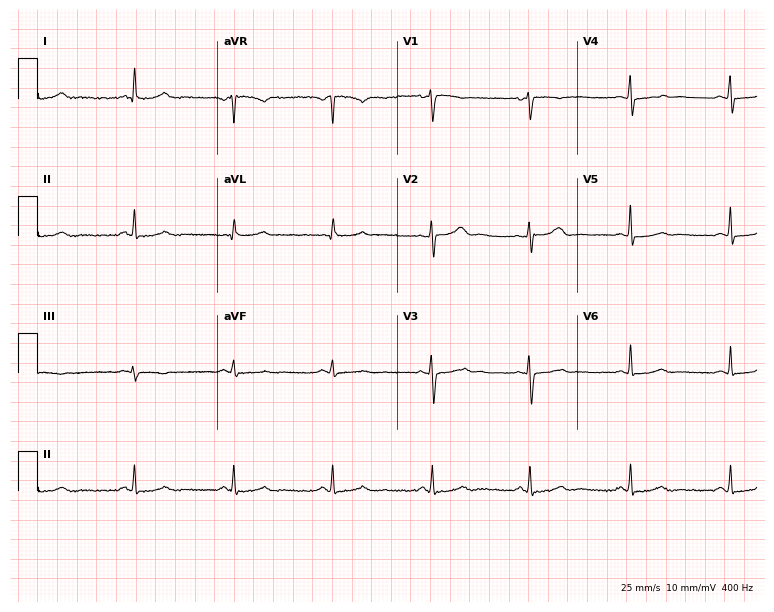
ECG — a male patient, 48 years old. Screened for six findings — first-degree AV block, right bundle branch block, left bundle branch block, sinus bradycardia, atrial fibrillation, sinus tachycardia — none is recorded.